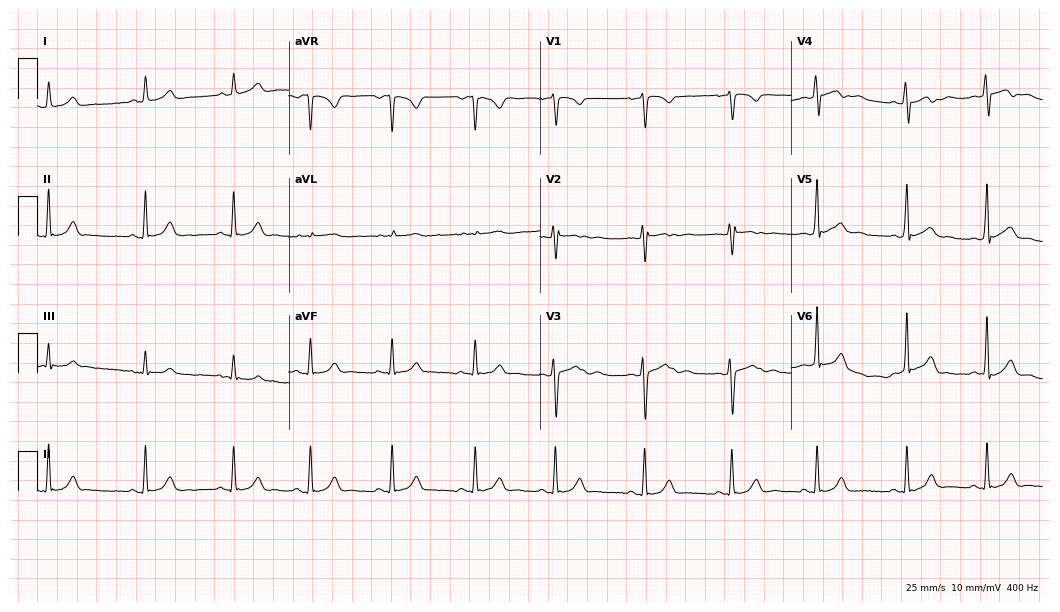
Standard 12-lead ECG recorded from a female patient, 18 years old. Read as a normal ECG.